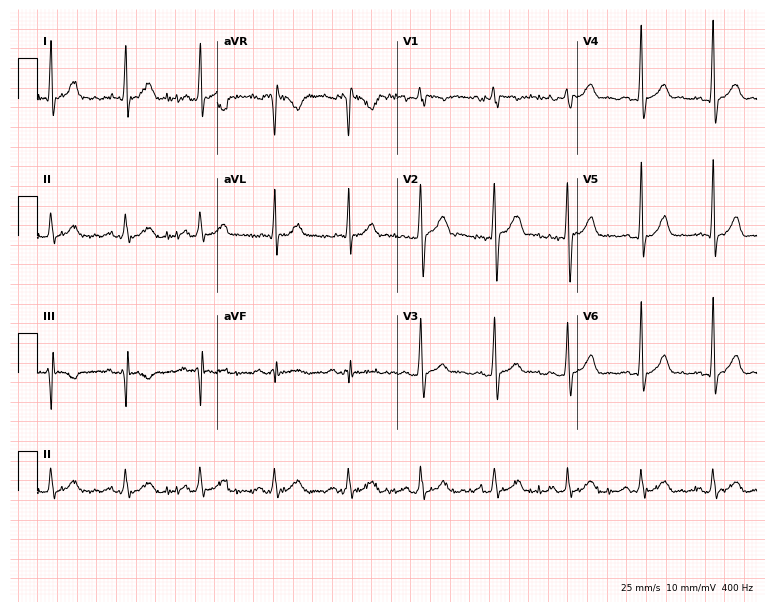
ECG (7.3-second recording at 400 Hz) — a male, 29 years old. Labelled as a normal ECG.